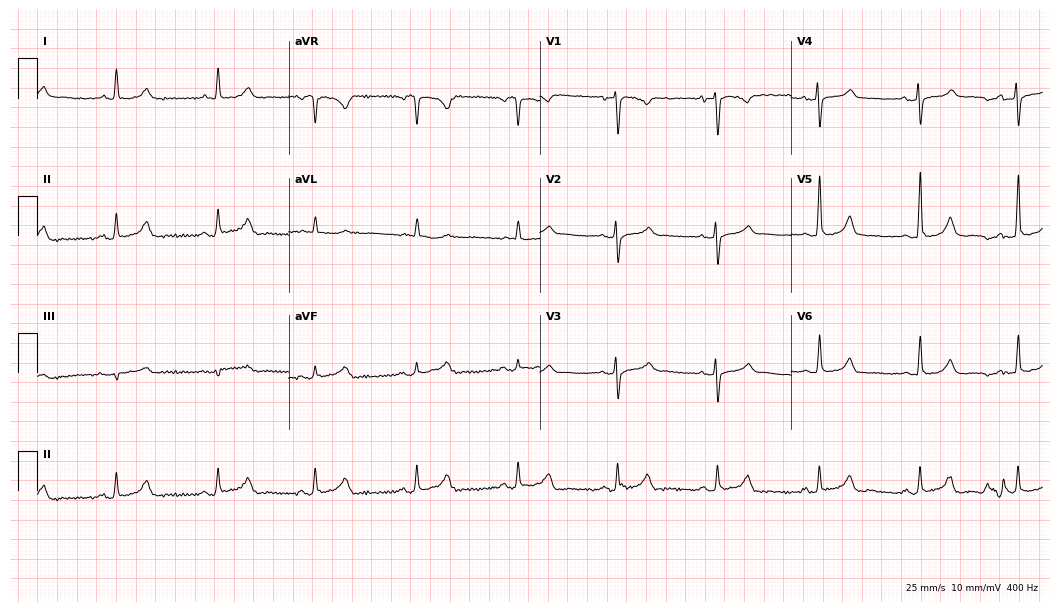
12-lead ECG from a woman, 42 years old. Labelled as a normal ECG.